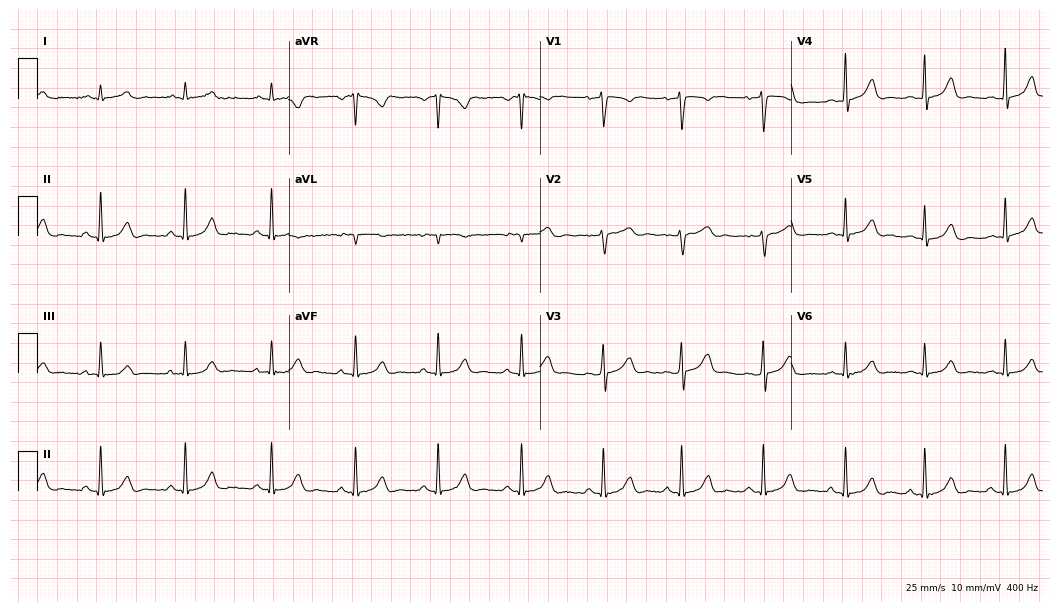
12-lead ECG from a female, 36 years old. Labelled as a normal ECG.